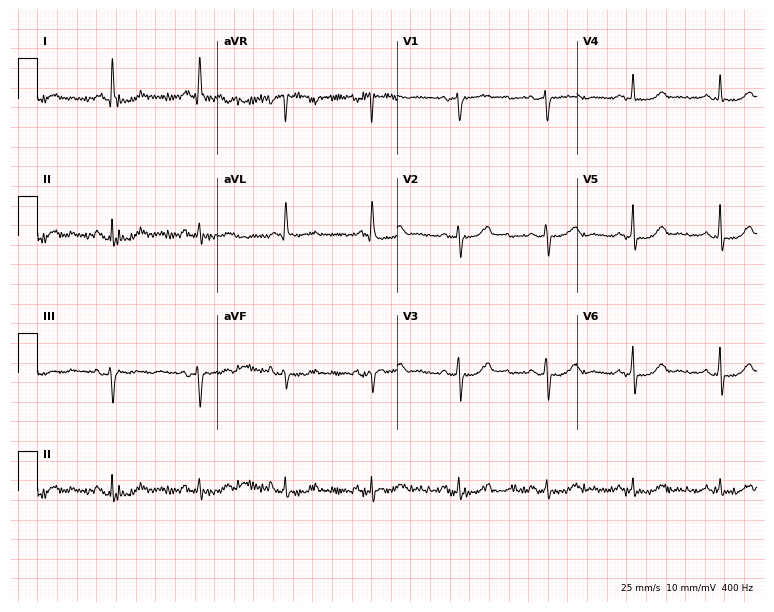
ECG (7.3-second recording at 400 Hz) — a 58-year-old female. Screened for six findings — first-degree AV block, right bundle branch block, left bundle branch block, sinus bradycardia, atrial fibrillation, sinus tachycardia — none is recorded. Other findings, if any, are not listed.